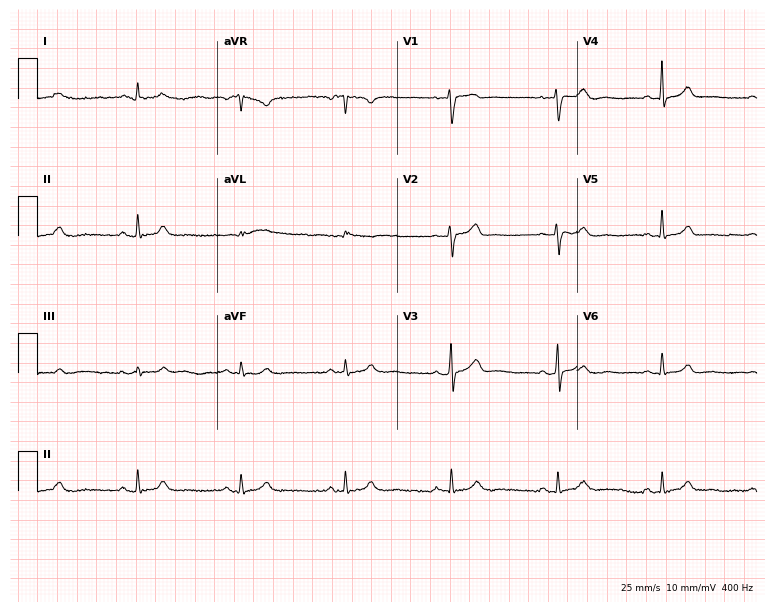
Electrocardiogram, a male patient, 37 years old. Overall reading on record: normal ECG.